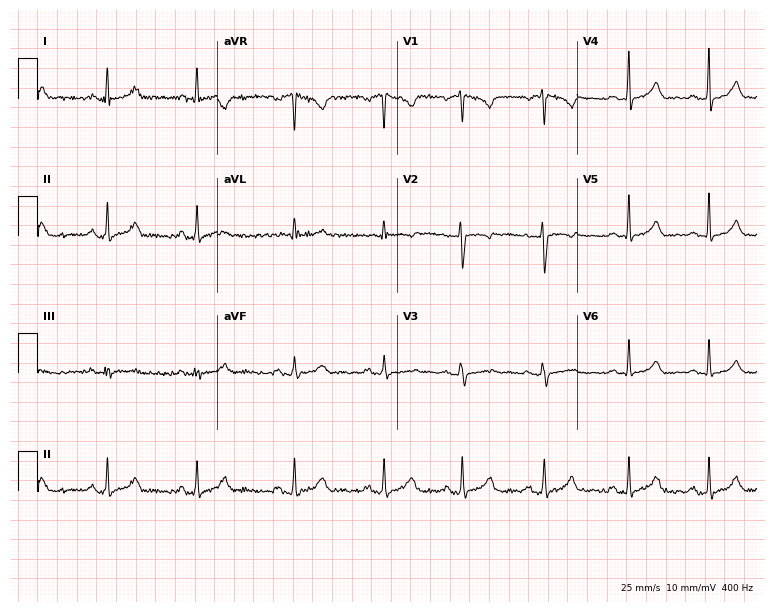
Standard 12-lead ECG recorded from a female patient, 31 years old (7.3-second recording at 400 Hz). Read as a normal ECG.